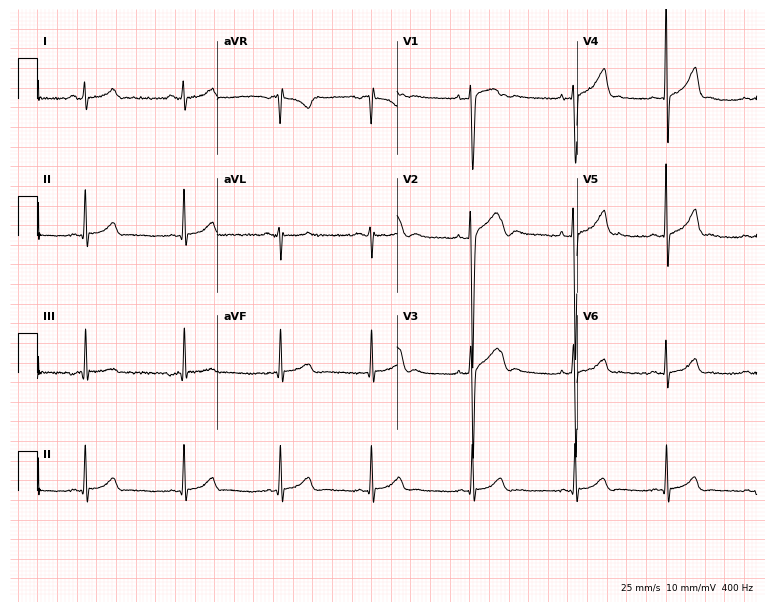
ECG — a 17-year-old male. Screened for six findings — first-degree AV block, right bundle branch block (RBBB), left bundle branch block (LBBB), sinus bradycardia, atrial fibrillation (AF), sinus tachycardia — none is recorded. Findings outside these six are not listed.